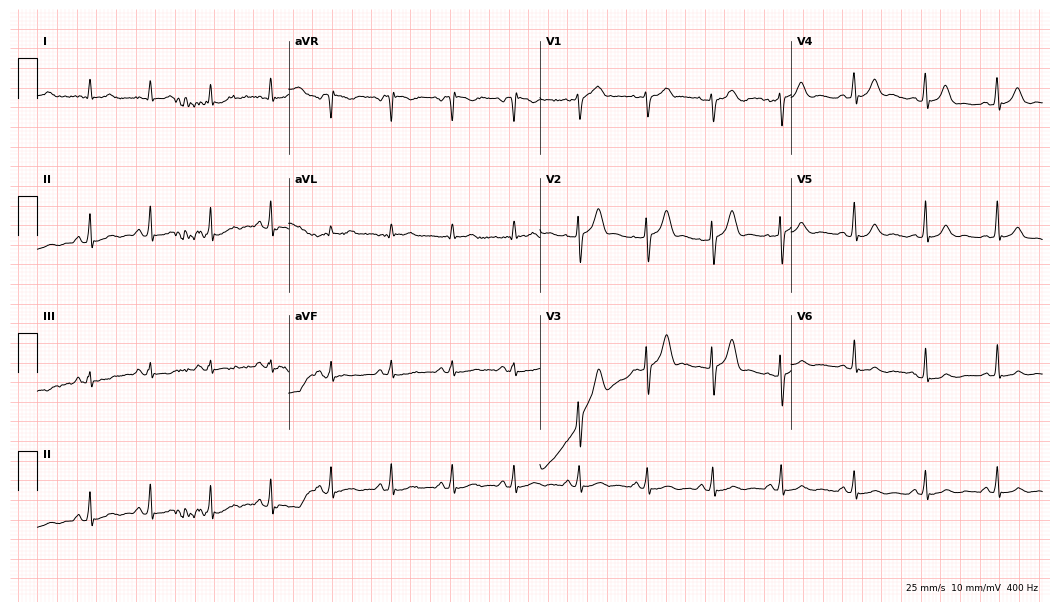
Resting 12-lead electrocardiogram. Patient: a female, 30 years old. Read as a normal ECG.